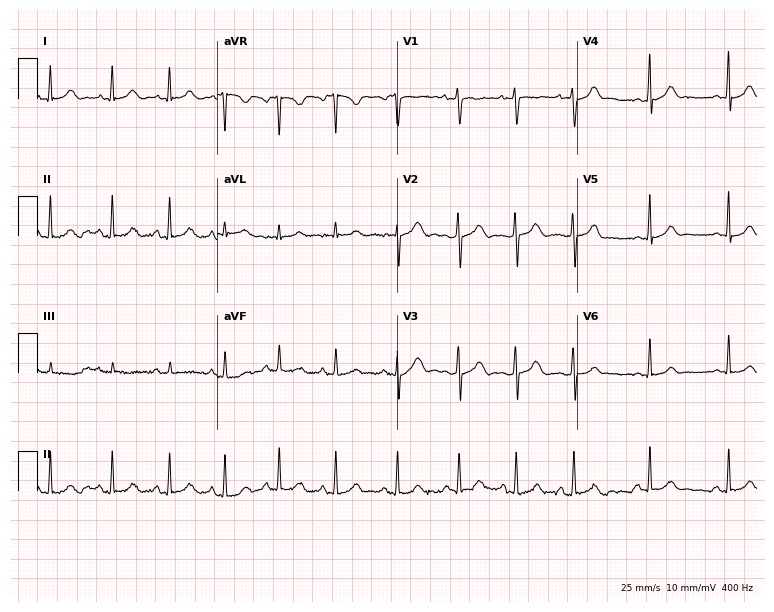
12-lead ECG from a female patient, 17 years old (7.3-second recording at 400 Hz). Recorded interpretation: within normal limits.